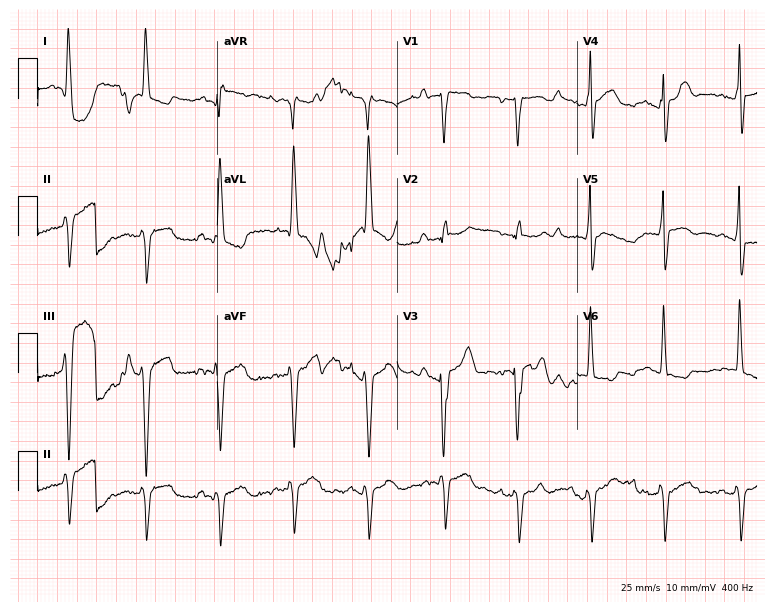
Electrocardiogram, a female patient, 81 years old. Of the six screened findings (first-degree AV block, right bundle branch block, left bundle branch block, sinus bradycardia, atrial fibrillation, sinus tachycardia), none is recorded. Findings outside these six are not listed.